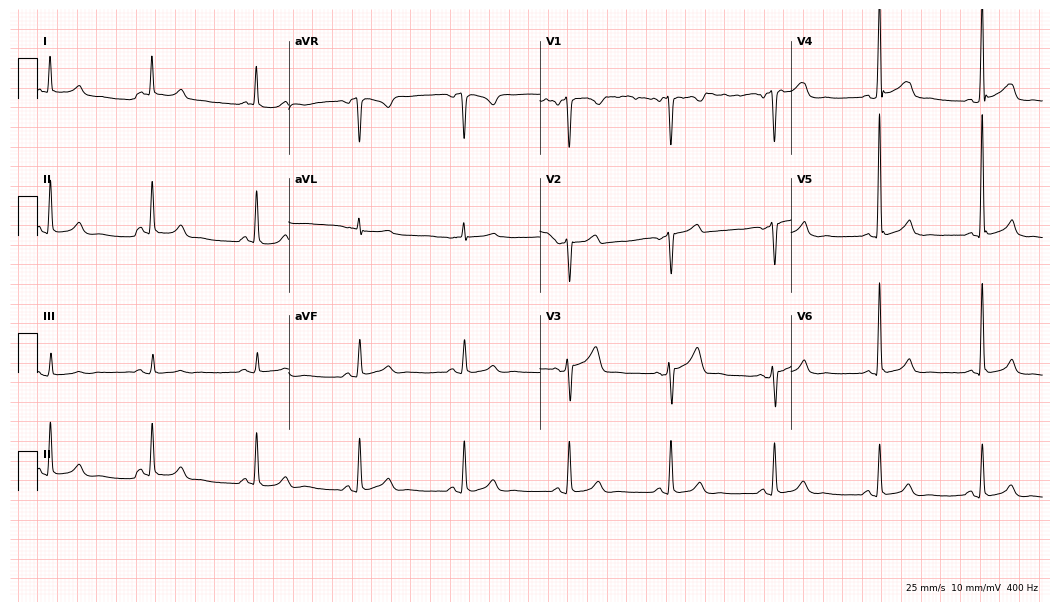
12-lead ECG (10.2-second recording at 400 Hz) from a 57-year-old male patient. Screened for six findings — first-degree AV block, right bundle branch block, left bundle branch block, sinus bradycardia, atrial fibrillation, sinus tachycardia — none is recorded.